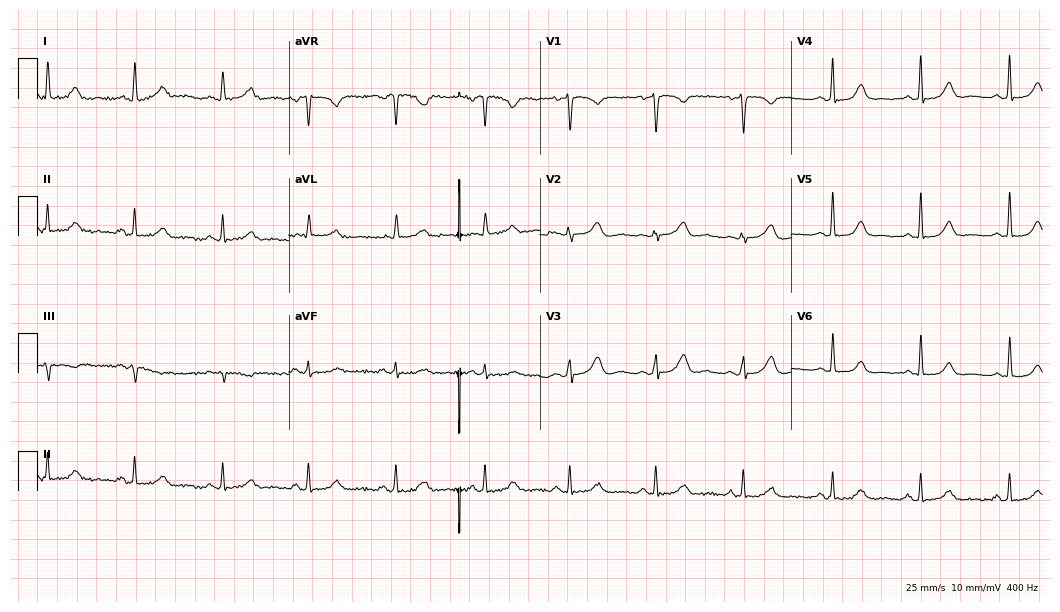
Resting 12-lead electrocardiogram (10.2-second recording at 400 Hz). Patient: a 46-year-old female. Read as a normal ECG.